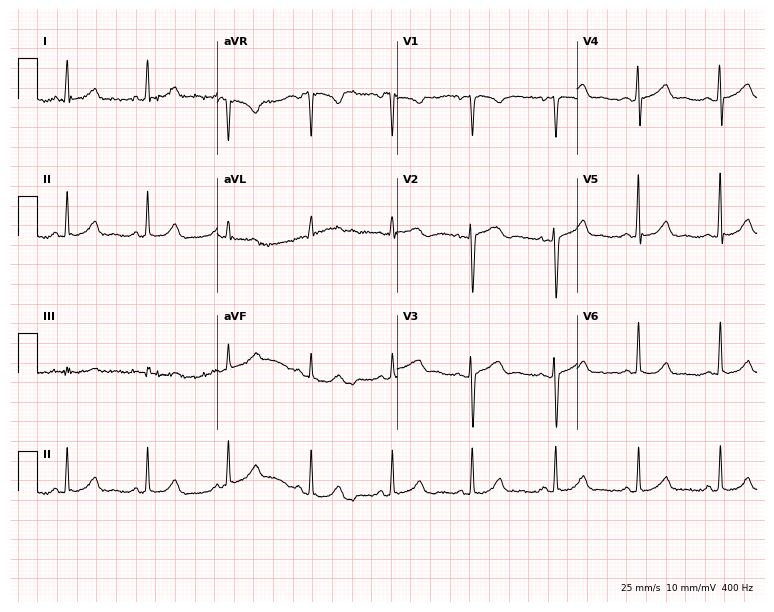
Electrocardiogram, a woman, 51 years old. Overall reading on record: normal ECG.